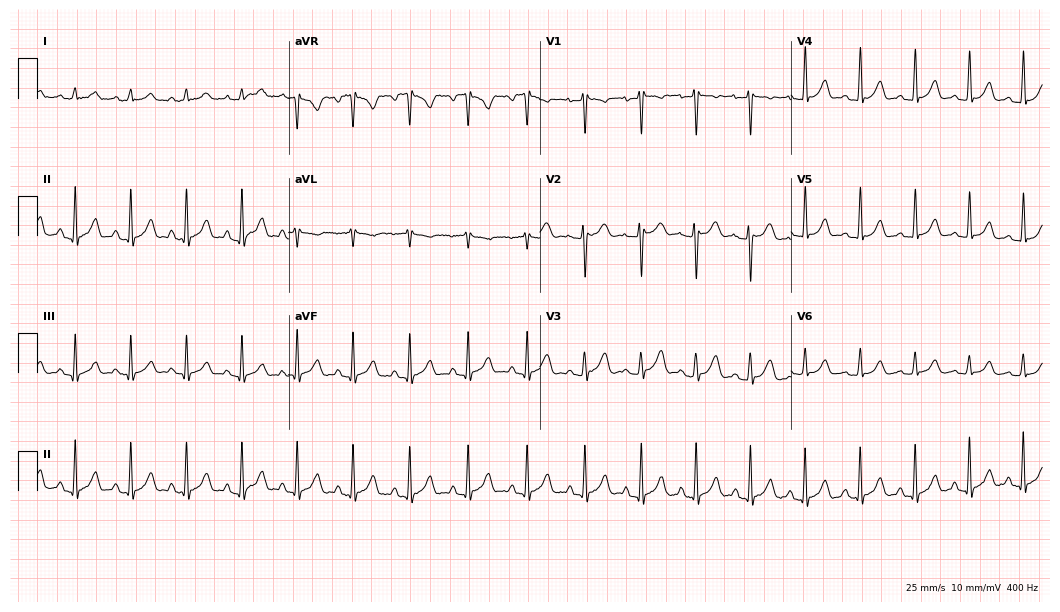
12-lead ECG from a 23-year-old female patient. Recorded interpretation: within normal limits.